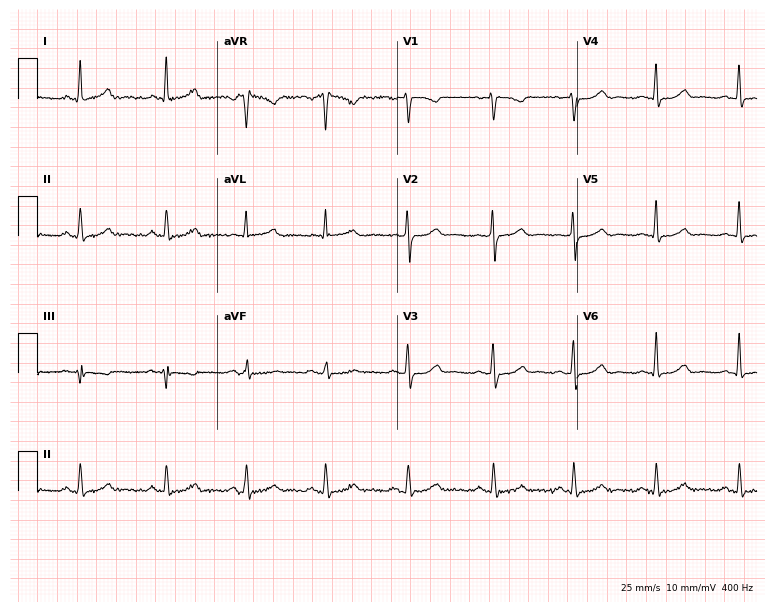
Resting 12-lead electrocardiogram (7.3-second recording at 400 Hz). Patient: a female, 36 years old. None of these six findings is recorded: first-degree AV block, right bundle branch block, left bundle branch block, sinus bradycardia, atrial fibrillation, sinus tachycardia.